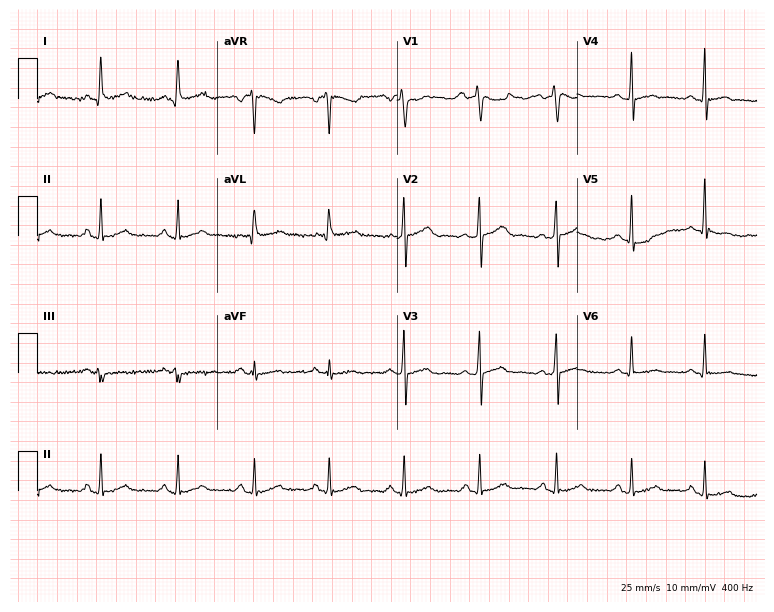
Resting 12-lead electrocardiogram. Patient: a 59-year-old female. Read as a normal ECG.